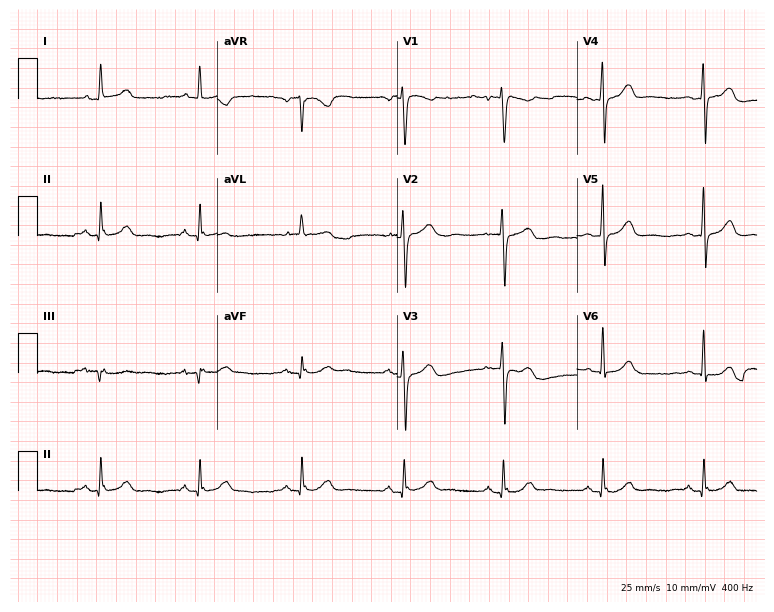
Electrocardiogram (7.3-second recording at 400 Hz), a 68-year-old female patient. Overall reading on record: normal ECG.